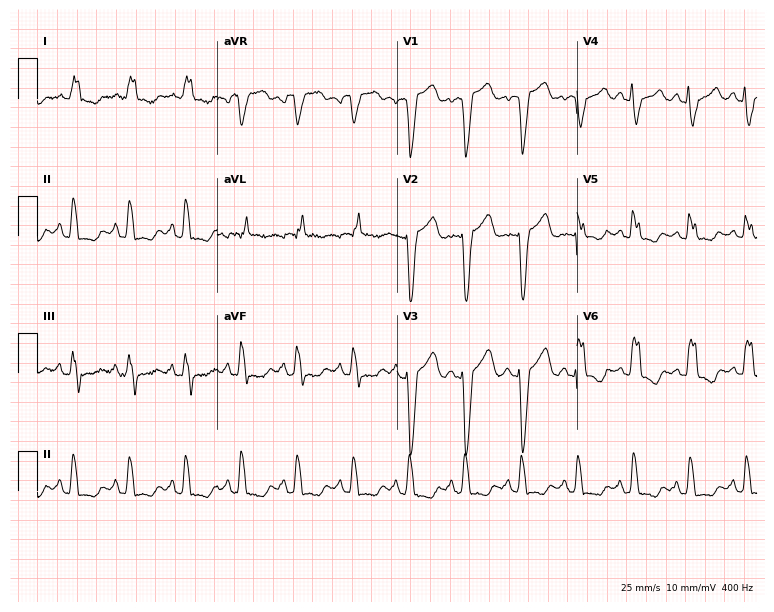
Electrocardiogram (7.3-second recording at 400 Hz), a female, 85 years old. Interpretation includes left bundle branch block (LBBB), sinus tachycardia (a sinus rate of 100 beats per minute or more).